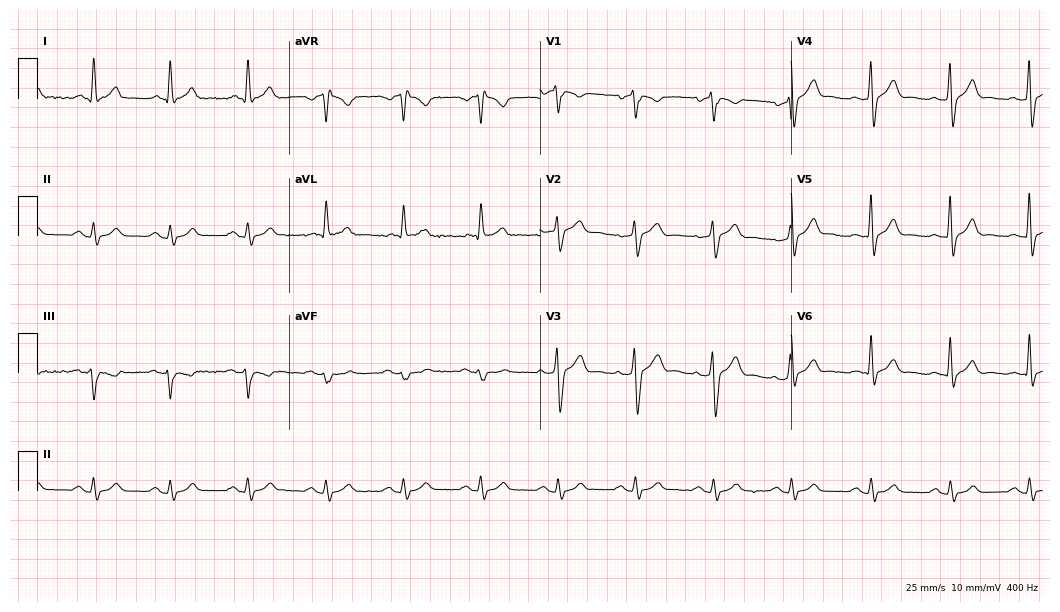
Resting 12-lead electrocardiogram. Patient: a 56-year-old man. None of these six findings is recorded: first-degree AV block, right bundle branch block, left bundle branch block, sinus bradycardia, atrial fibrillation, sinus tachycardia.